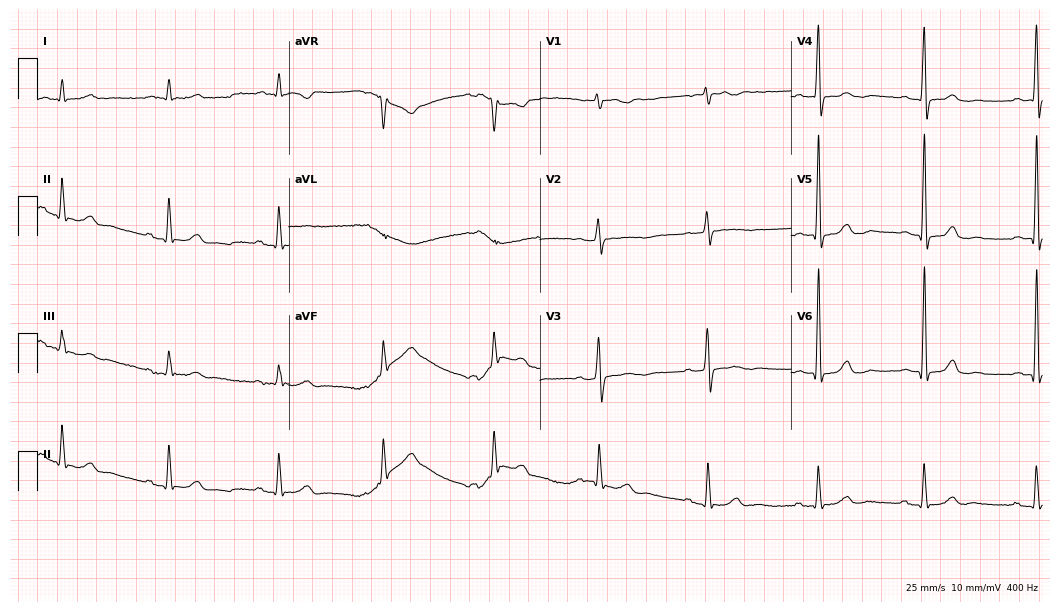
ECG (10.2-second recording at 400 Hz) — a male, 84 years old. Screened for six findings — first-degree AV block, right bundle branch block, left bundle branch block, sinus bradycardia, atrial fibrillation, sinus tachycardia — none is recorded.